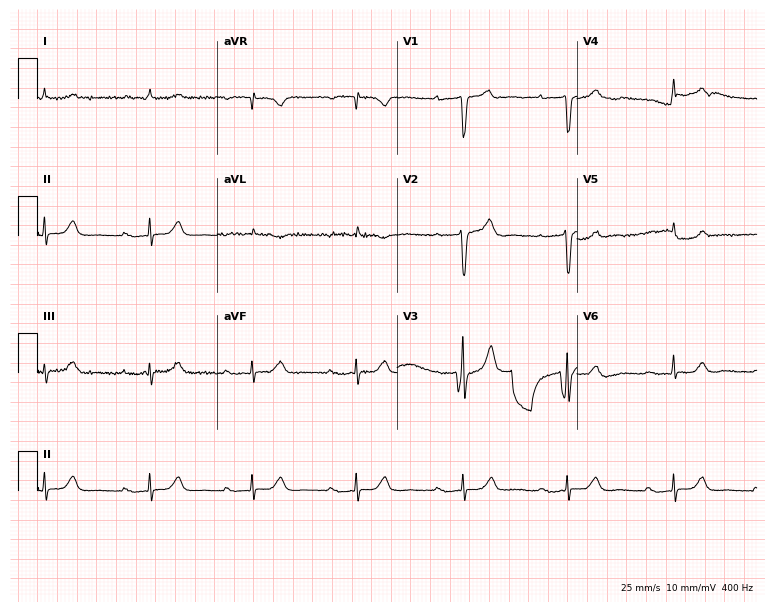
12-lead ECG from an 85-year-old man. Findings include first-degree AV block.